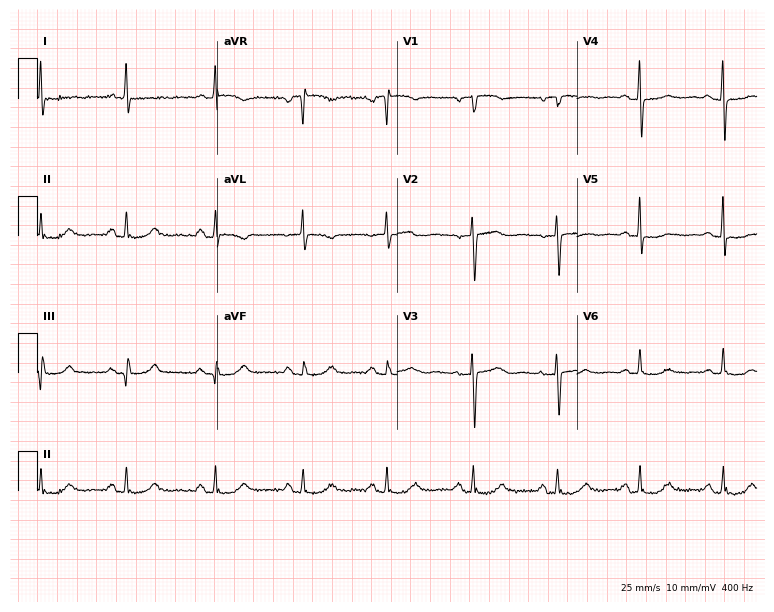
Electrocardiogram, a 74-year-old female. Of the six screened findings (first-degree AV block, right bundle branch block, left bundle branch block, sinus bradycardia, atrial fibrillation, sinus tachycardia), none is recorded.